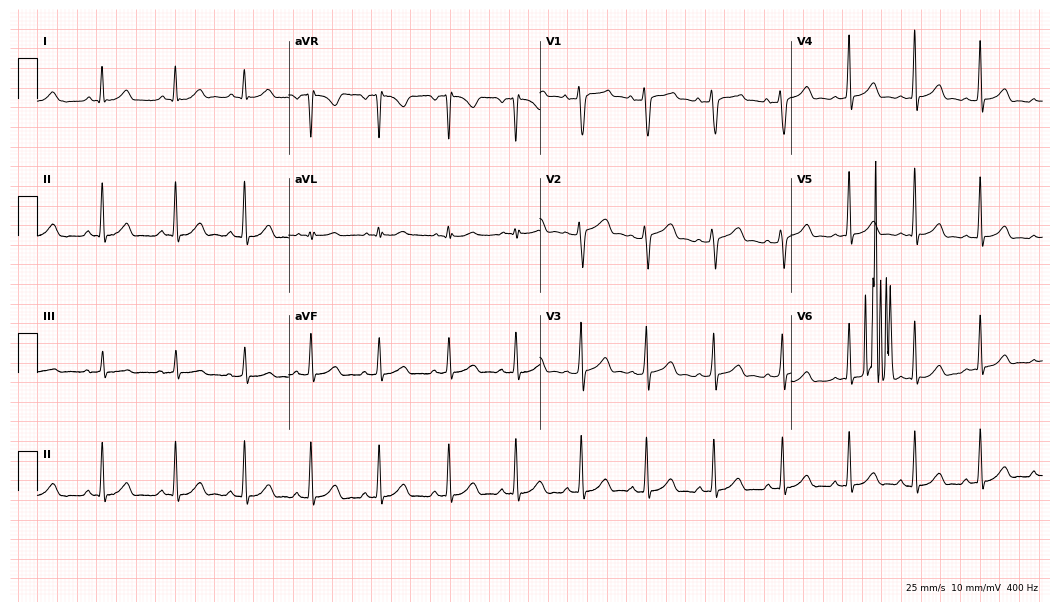
12-lead ECG from a 22-year-old woman. Recorded interpretation: within normal limits.